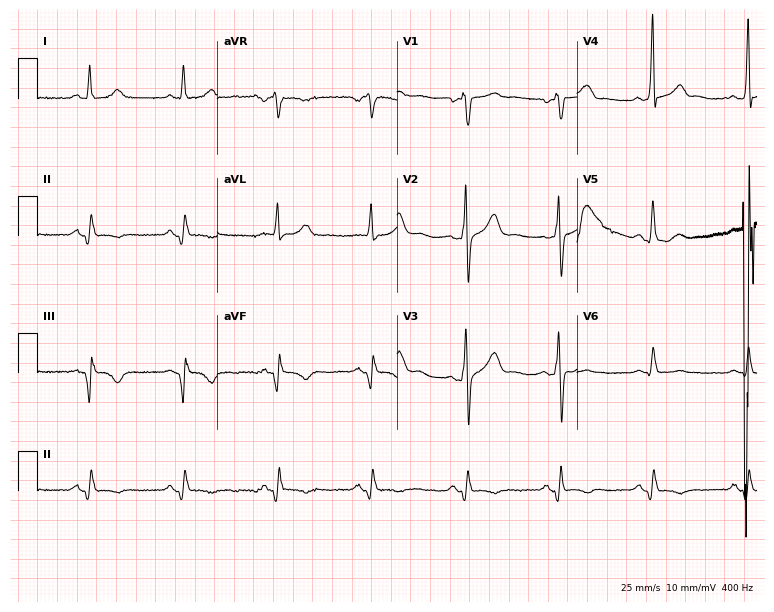
12-lead ECG from a male patient, 64 years old. No first-degree AV block, right bundle branch block, left bundle branch block, sinus bradycardia, atrial fibrillation or sinus tachycardia recorded for this tracing.